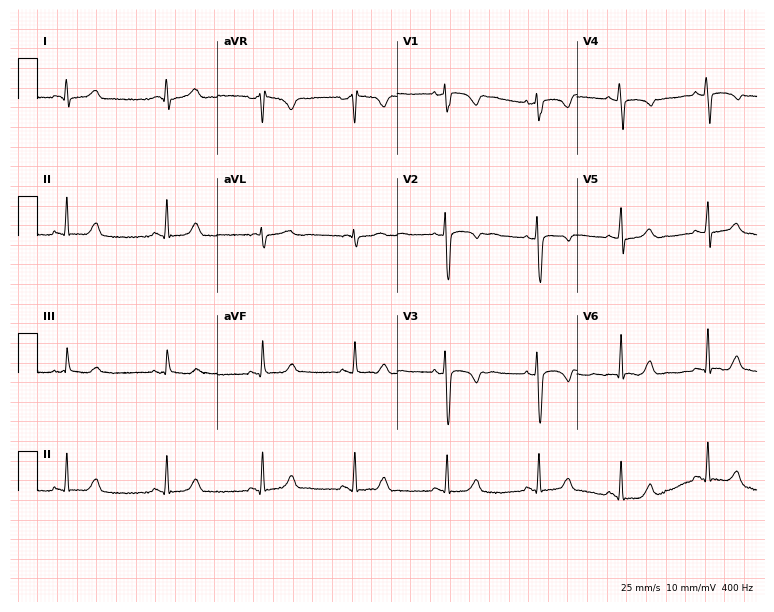
Resting 12-lead electrocardiogram. Patient: a woman, 22 years old. None of these six findings is recorded: first-degree AV block, right bundle branch block (RBBB), left bundle branch block (LBBB), sinus bradycardia, atrial fibrillation (AF), sinus tachycardia. Other findings, if any, are not listed.